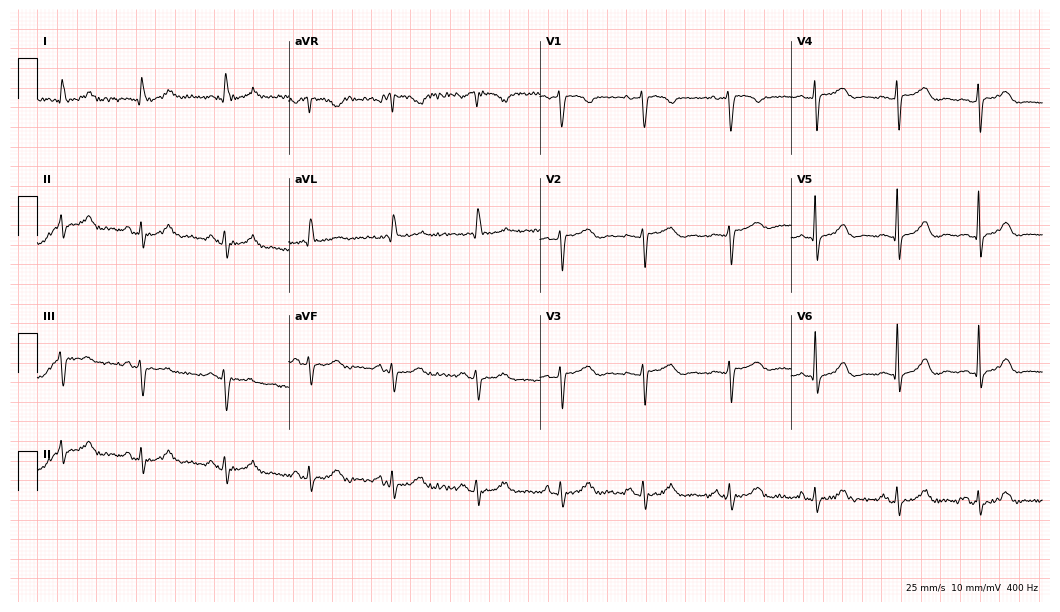
Electrocardiogram (10.2-second recording at 400 Hz), a 73-year-old female patient. Overall reading on record: normal ECG.